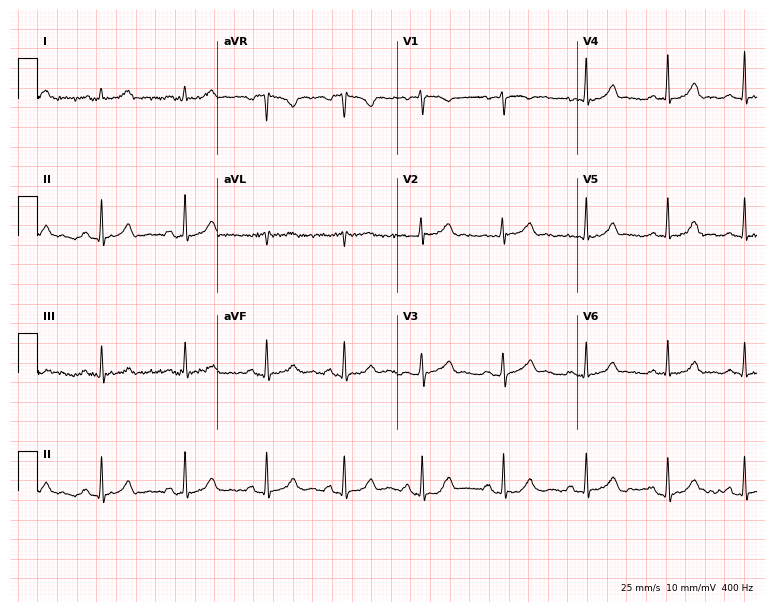
Electrocardiogram (7.3-second recording at 400 Hz), a 31-year-old female patient. Overall reading on record: normal ECG.